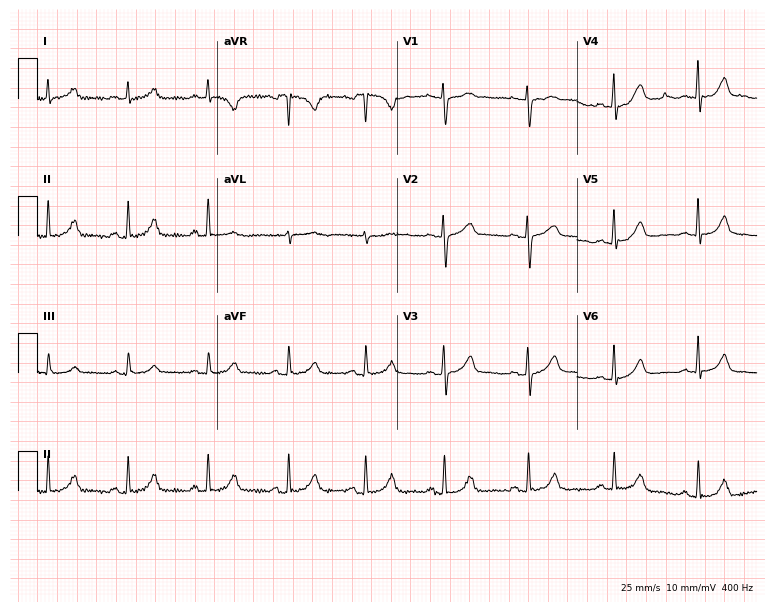
Standard 12-lead ECG recorded from a female patient, 39 years old (7.3-second recording at 400 Hz). Read as a normal ECG.